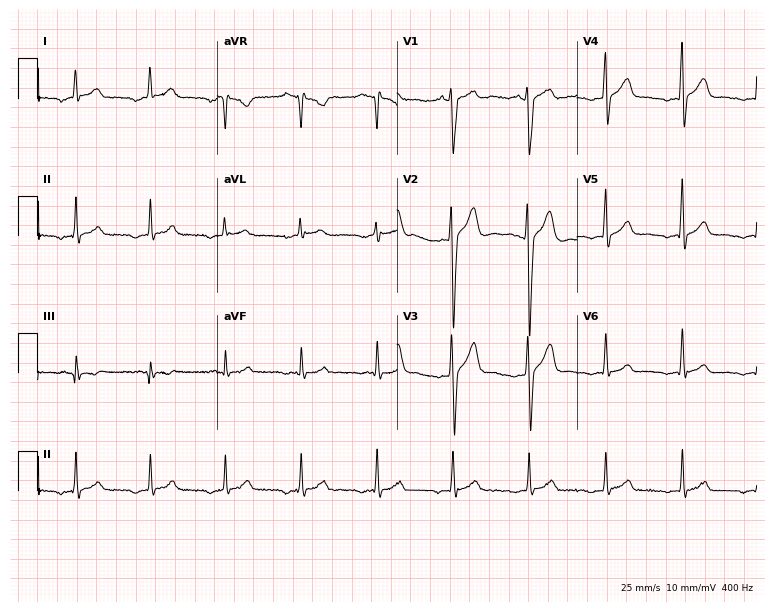
ECG — a 32-year-old male. Screened for six findings — first-degree AV block, right bundle branch block, left bundle branch block, sinus bradycardia, atrial fibrillation, sinus tachycardia — none is recorded.